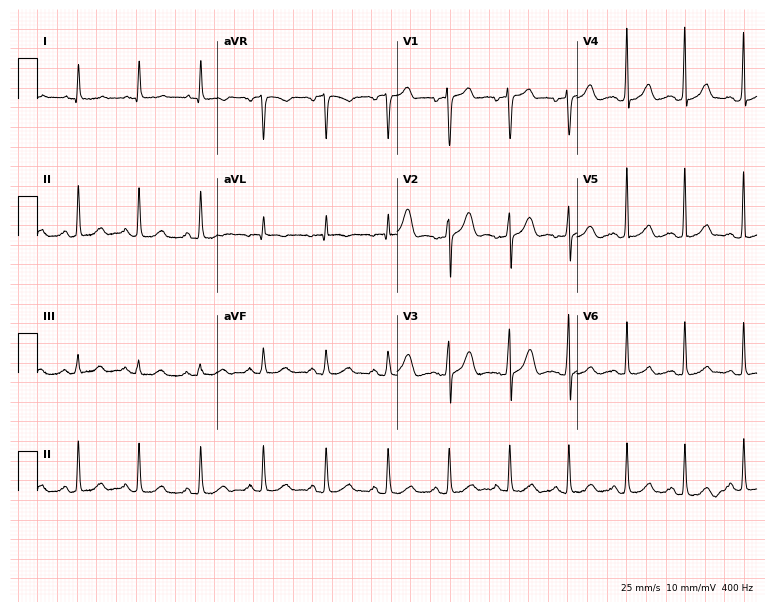
ECG (7.3-second recording at 400 Hz) — a woman, 52 years old. Screened for six findings — first-degree AV block, right bundle branch block (RBBB), left bundle branch block (LBBB), sinus bradycardia, atrial fibrillation (AF), sinus tachycardia — none is recorded.